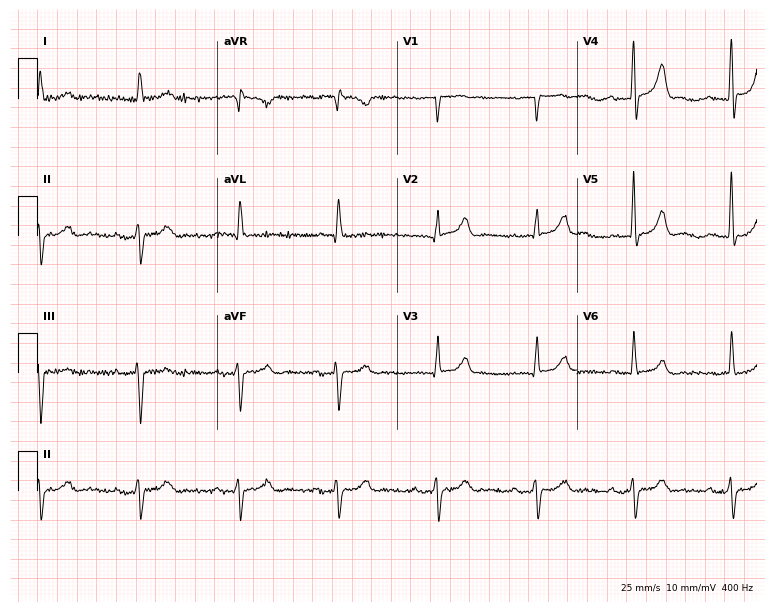
Resting 12-lead electrocardiogram. Patient: an 81-year-old male. None of these six findings is recorded: first-degree AV block, right bundle branch block, left bundle branch block, sinus bradycardia, atrial fibrillation, sinus tachycardia. Only these six findings were labelled.